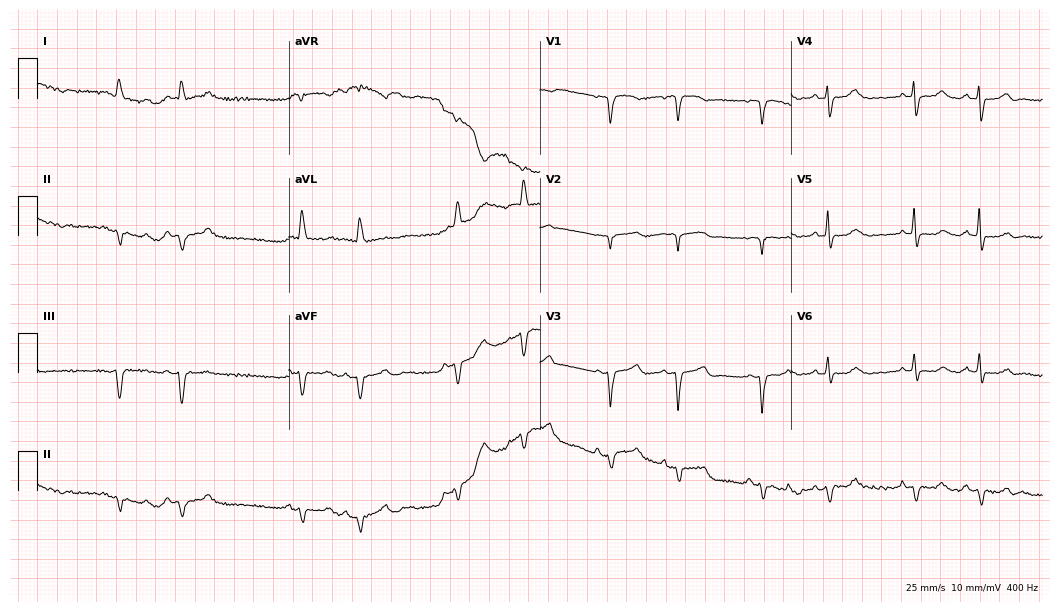
Electrocardiogram (10.2-second recording at 400 Hz), a male patient, 74 years old. Of the six screened findings (first-degree AV block, right bundle branch block, left bundle branch block, sinus bradycardia, atrial fibrillation, sinus tachycardia), none is recorded. Only these six findings were labelled.